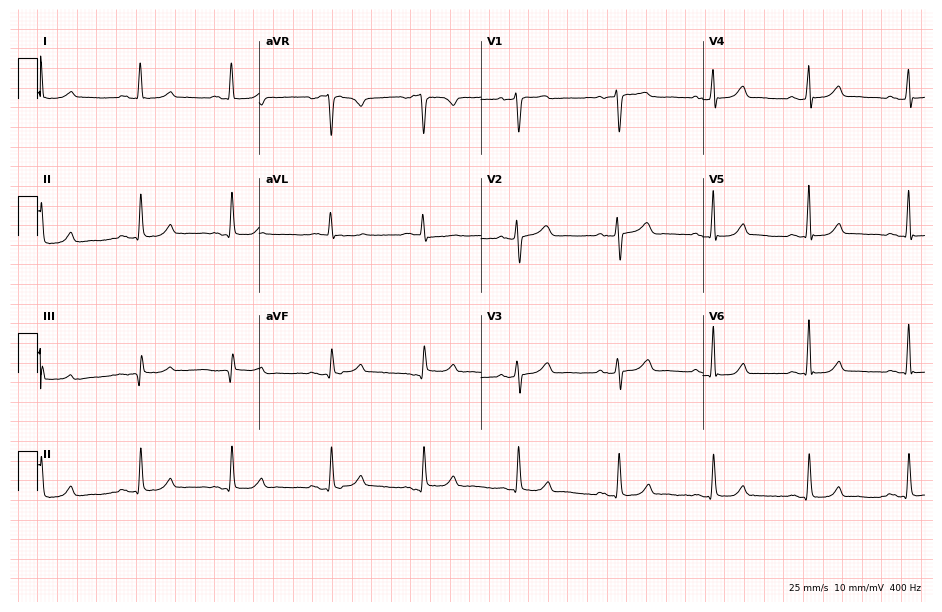
Standard 12-lead ECG recorded from a woman, 69 years old. Read as a normal ECG.